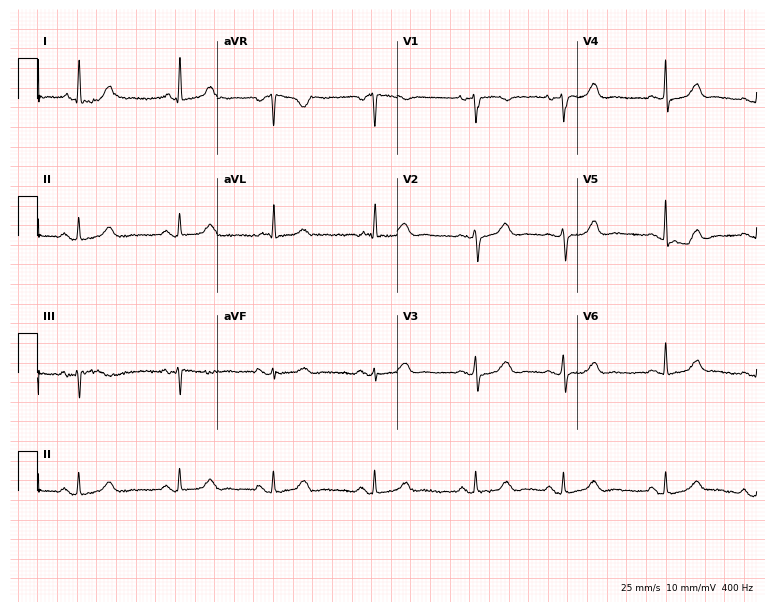
Standard 12-lead ECG recorded from a female, 65 years old (7.3-second recording at 400 Hz). Read as a normal ECG.